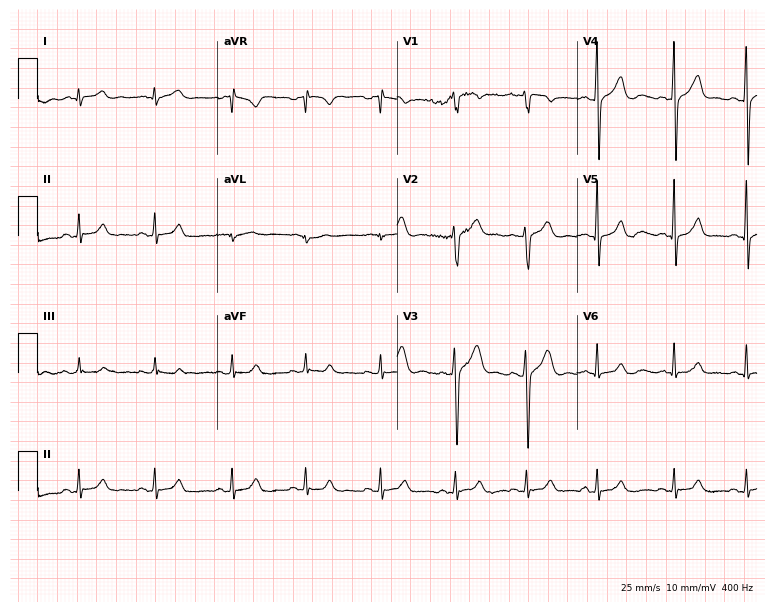
Electrocardiogram (7.3-second recording at 400 Hz), a man, 20 years old. Overall reading on record: normal ECG.